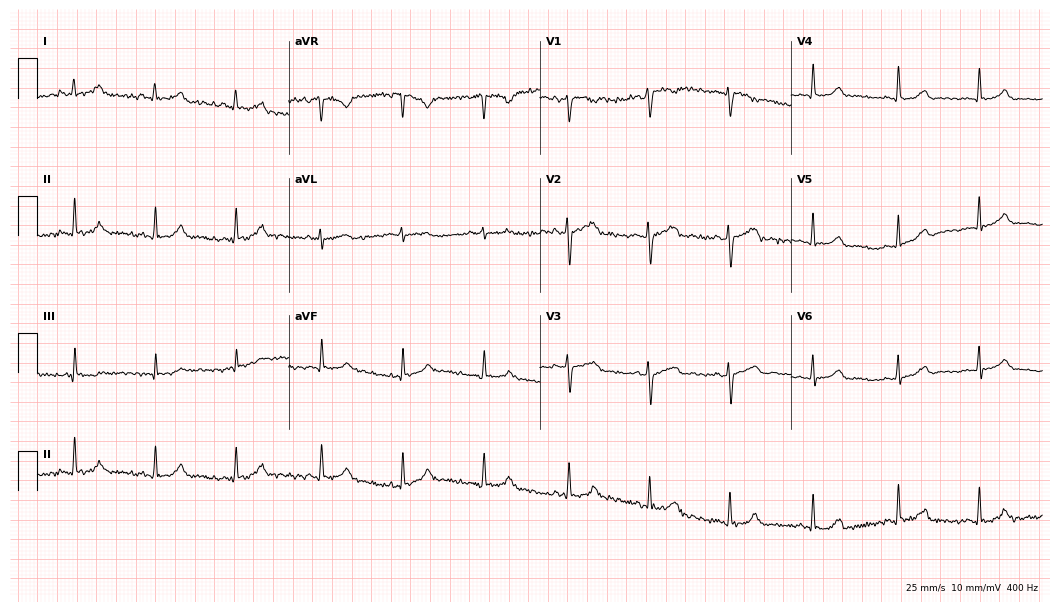
ECG (10.2-second recording at 400 Hz) — a female patient, 27 years old. Screened for six findings — first-degree AV block, right bundle branch block, left bundle branch block, sinus bradycardia, atrial fibrillation, sinus tachycardia — none is recorded. Other findings, if any, are not listed.